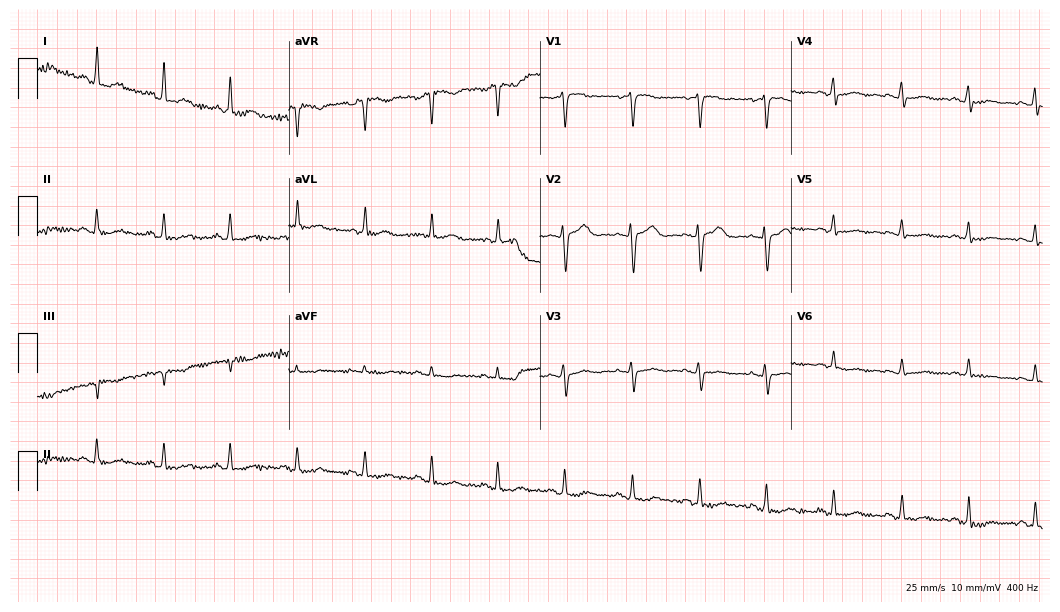
Electrocardiogram (10.2-second recording at 400 Hz), a 48-year-old female patient. Of the six screened findings (first-degree AV block, right bundle branch block (RBBB), left bundle branch block (LBBB), sinus bradycardia, atrial fibrillation (AF), sinus tachycardia), none is recorded. Findings outside these six are not listed.